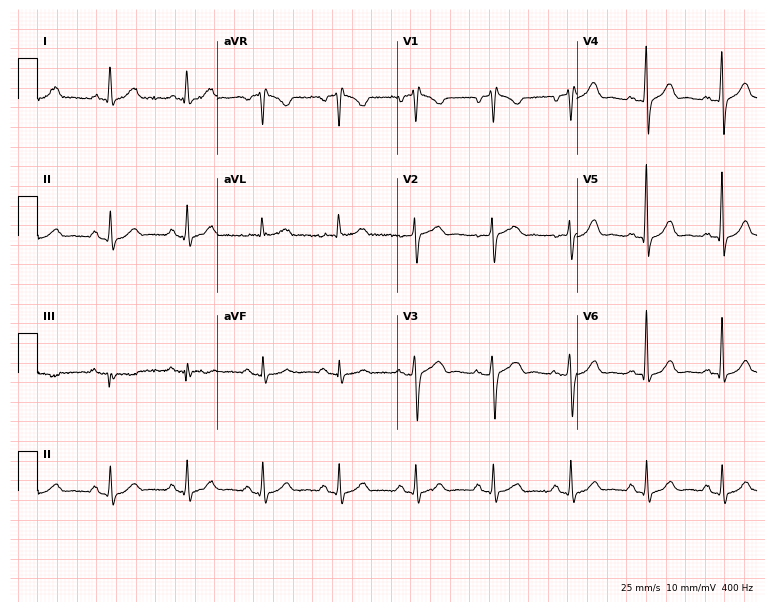
Resting 12-lead electrocardiogram. Patient: a male, 65 years old. Read as a normal ECG.